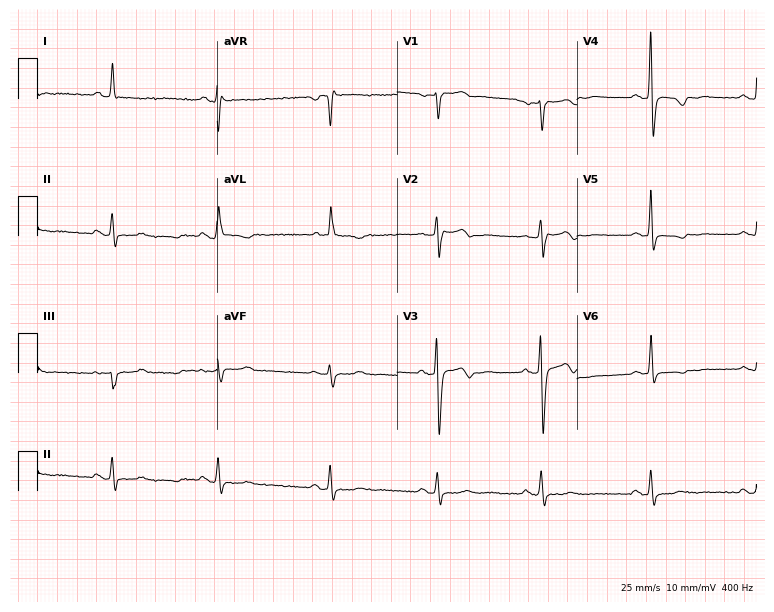
12-lead ECG from a 73-year-old female (7.3-second recording at 400 Hz). No first-degree AV block, right bundle branch block, left bundle branch block, sinus bradycardia, atrial fibrillation or sinus tachycardia recorded for this tracing.